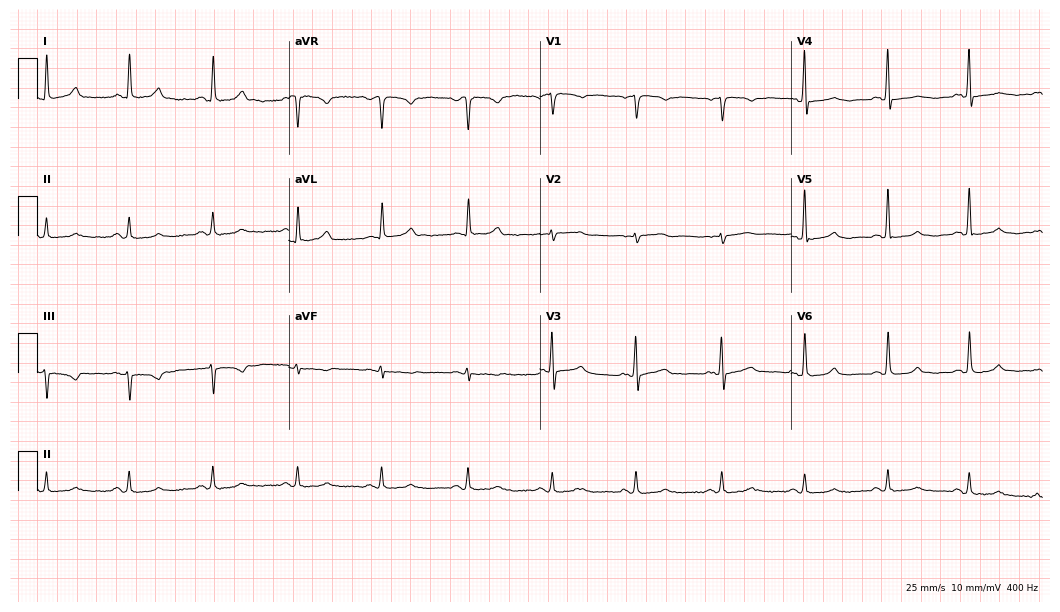
ECG (10.2-second recording at 400 Hz) — a woman, 63 years old. Labelled as a normal ECG.